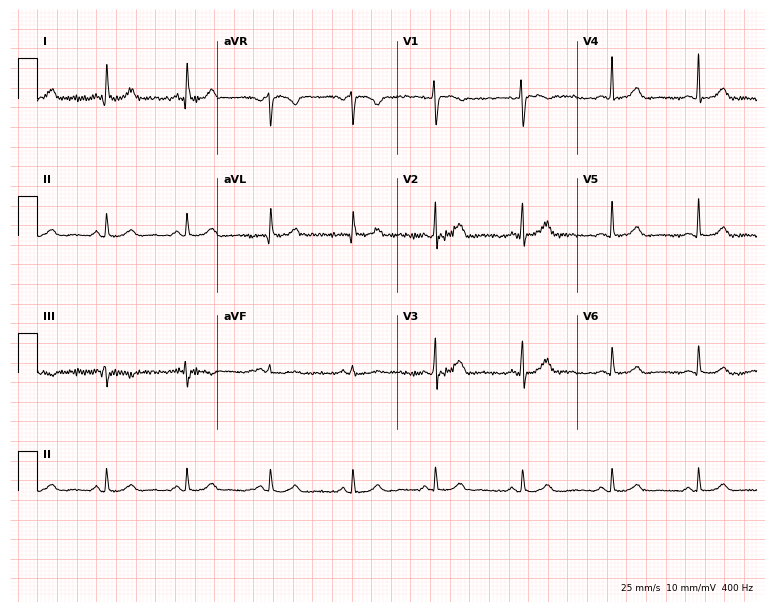
Resting 12-lead electrocardiogram. Patient: a 51-year-old female. Read as a normal ECG.